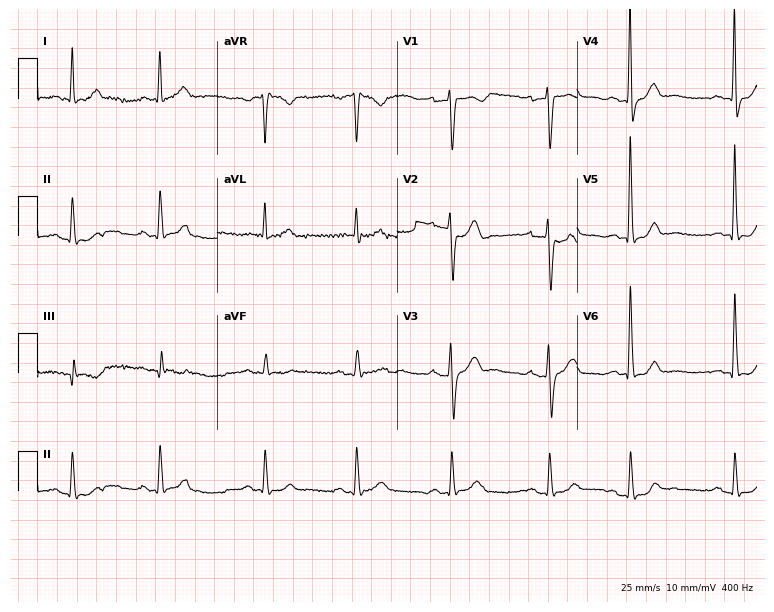
Electrocardiogram, a 71-year-old man. Of the six screened findings (first-degree AV block, right bundle branch block (RBBB), left bundle branch block (LBBB), sinus bradycardia, atrial fibrillation (AF), sinus tachycardia), none is recorded. Findings outside these six are not listed.